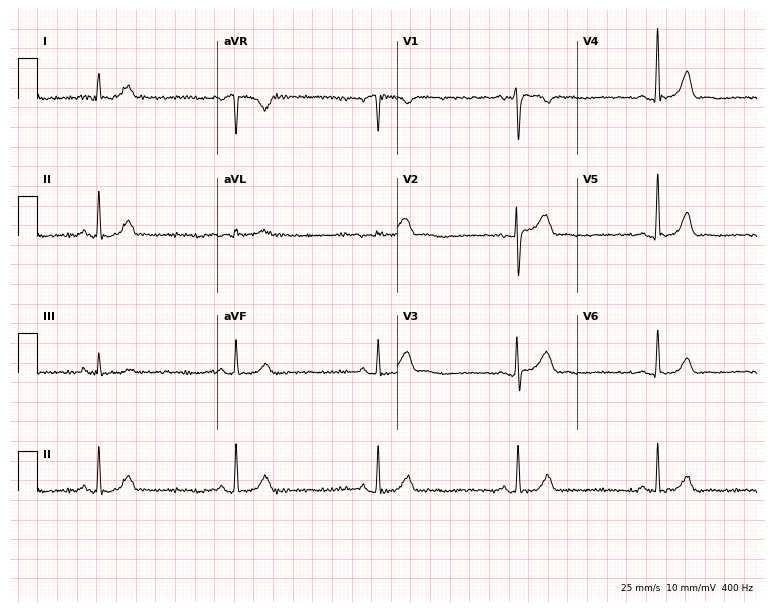
12-lead ECG from a 36-year-old female patient (7.3-second recording at 400 Hz). Shows sinus bradycardia (a sinus rate of 50 beats per minute or less).